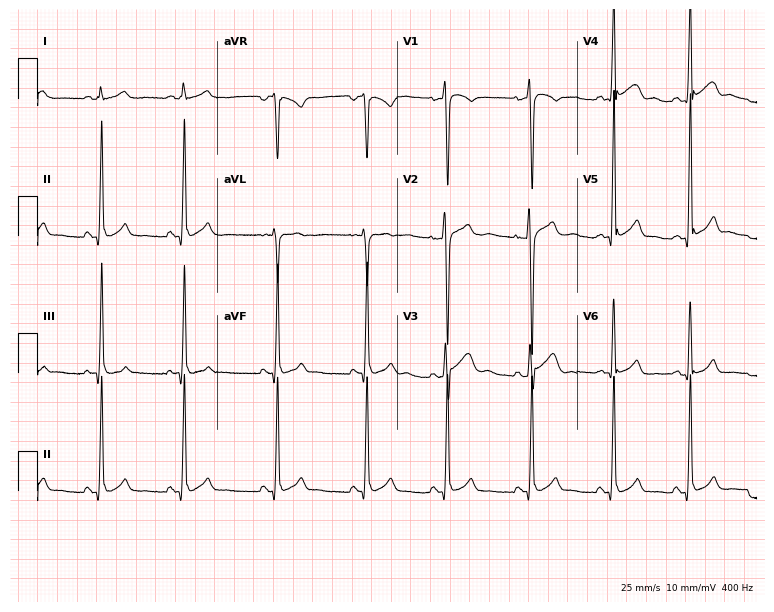
Standard 12-lead ECG recorded from a male, 17 years old. None of these six findings is recorded: first-degree AV block, right bundle branch block, left bundle branch block, sinus bradycardia, atrial fibrillation, sinus tachycardia.